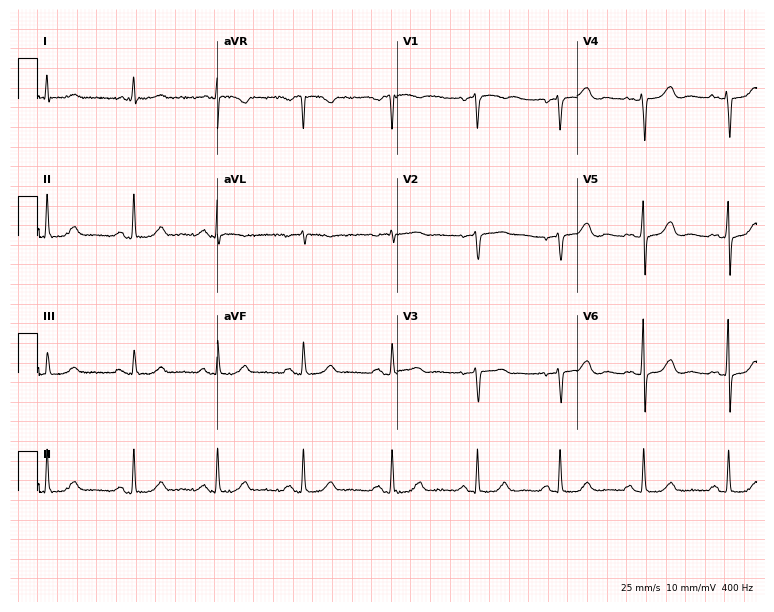
ECG — a 73-year-old female patient. Screened for six findings — first-degree AV block, right bundle branch block, left bundle branch block, sinus bradycardia, atrial fibrillation, sinus tachycardia — none is recorded. Other findings, if any, are not listed.